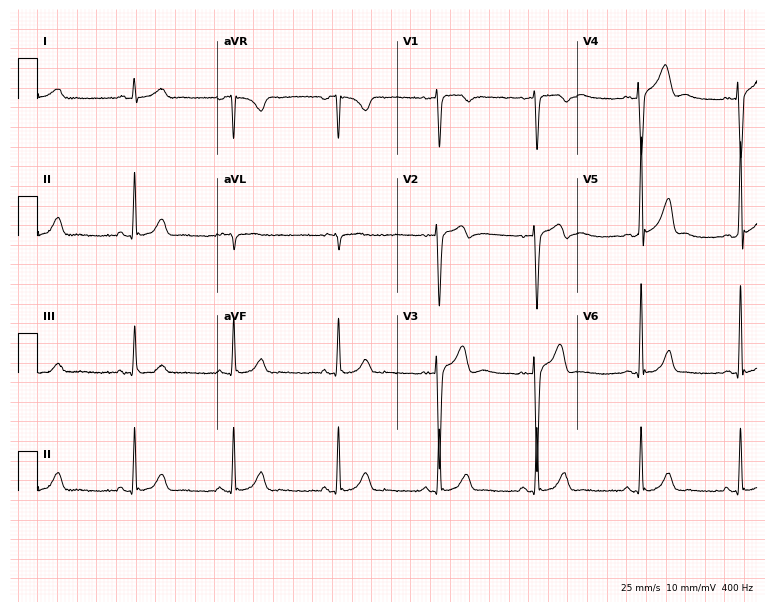
12-lead ECG (7.3-second recording at 400 Hz) from a male patient, 34 years old. Screened for six findings — first-degree AV block, right bundle branch block (RBBB), left bundle branch block (LBBB), sinus bradycardia, atrial fibrillation (AF), sinus tachycardia — none is recorded. Other findings, if any, are not listed.